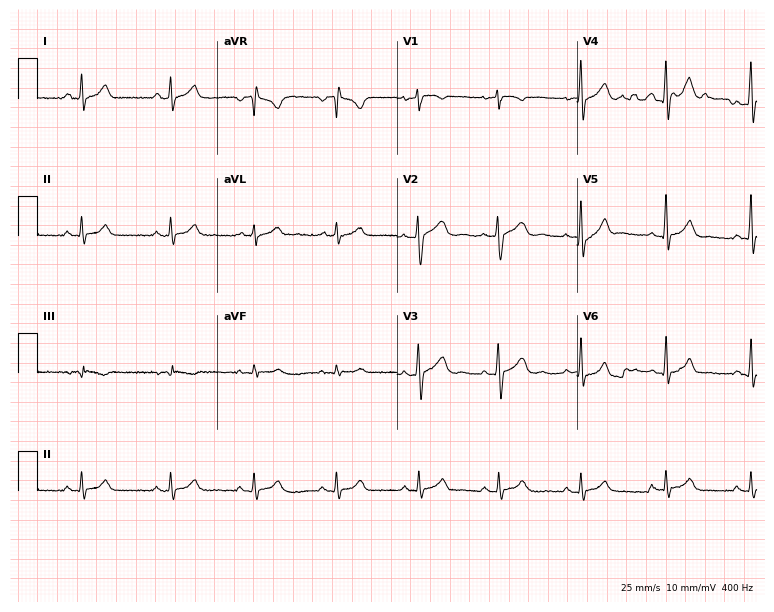
ECG (7.3-second recording at 400 Hz) — a 32-year-old male patient. Labelled as a normal ECG.